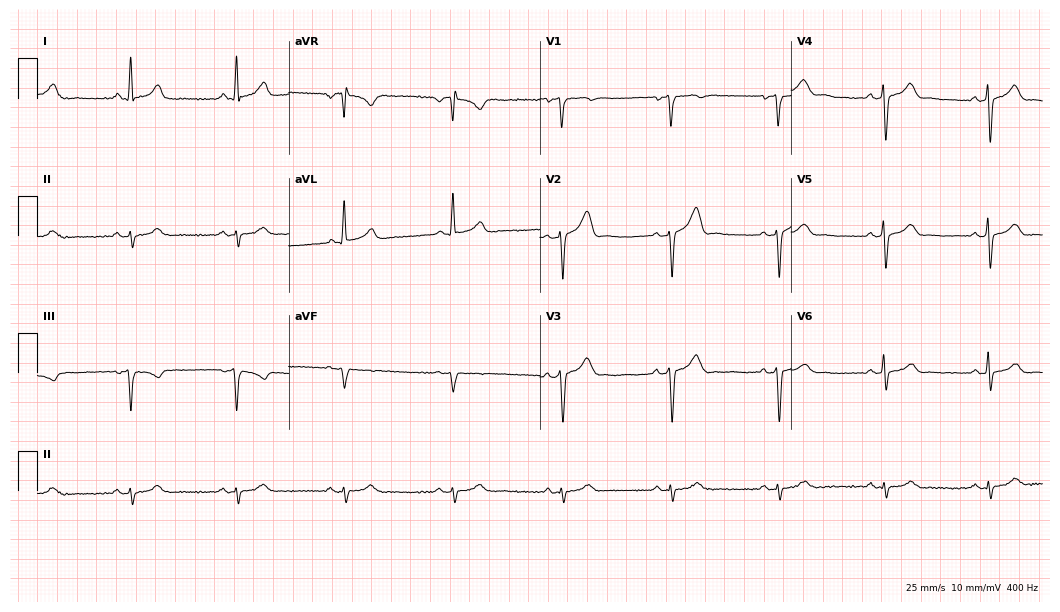
Electrocardiogram (10.2-second recording at 400 Hz), a male patient, 54 years old. Of the six screened findings (first-degree AV block, right bundle branch block, left bundle branch block, sinus bradycardia, atrial fibrillation, sinus tachycardia), none is recorded.